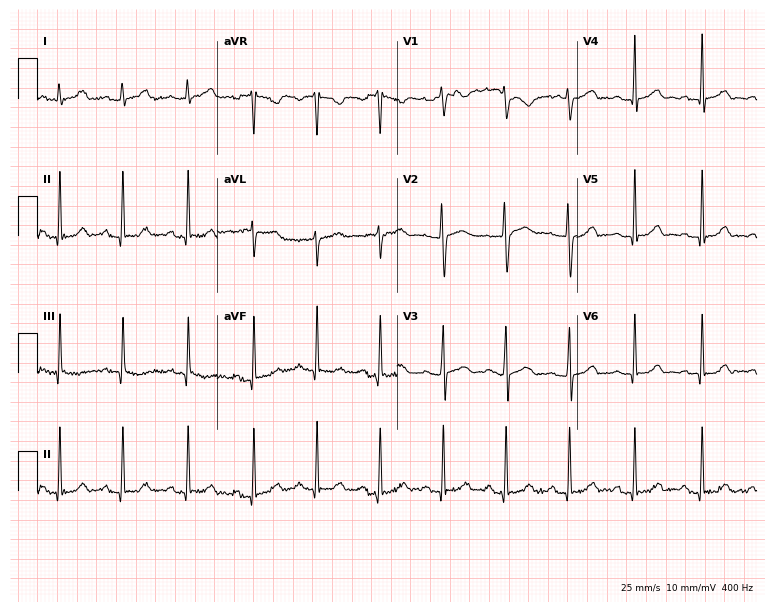
Standard 12-lead ECG recorded from a female, 17 years old (7.3-second recording at 400 Hz). Read as a normal ECG.